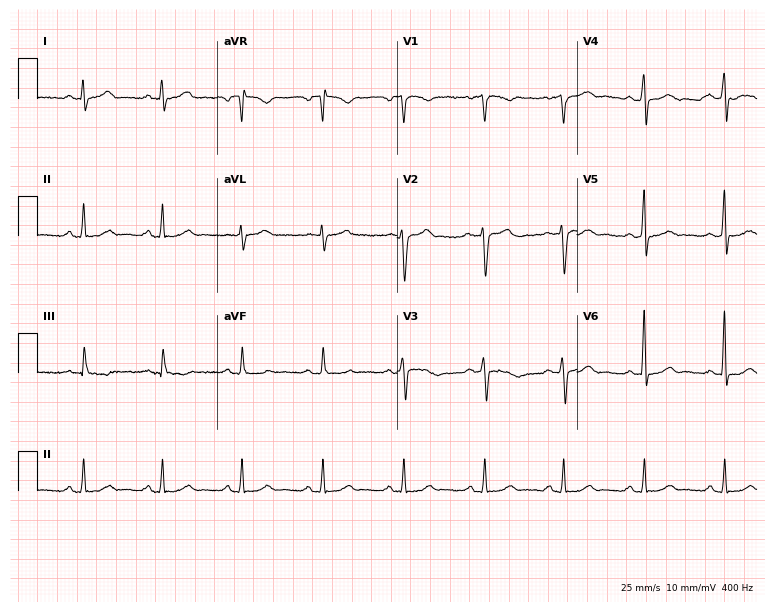
Standard 12-lead ECG recorded from a 45-year-old man (7.3-second recording at 400 Hz). None of these six findings is recorded: first-degree AV block, right bundle branch block, left bundle branch block, sinus bradycardia, atrial fibrillation, sinus tachycardia. Findings outside these six are not listed.